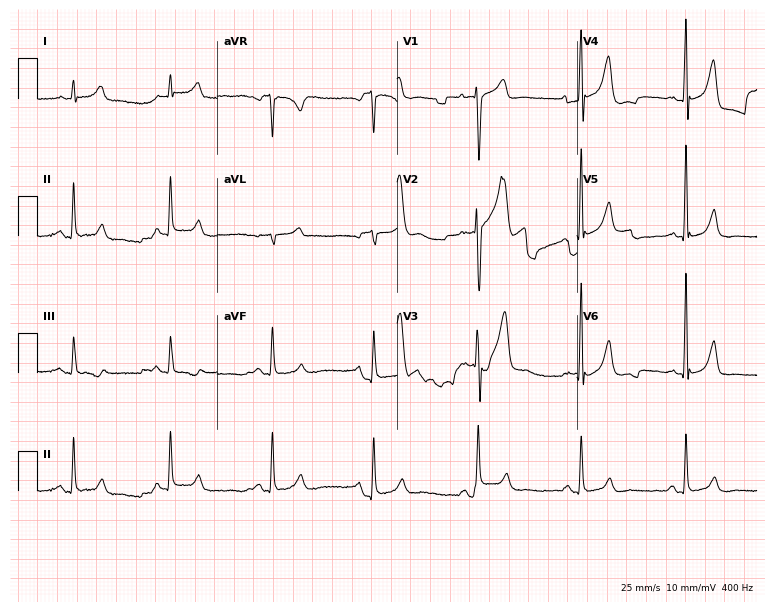
Electrocardiogram, a male, 41 years old. Of the six screened findings (first-degree AV block, right bundle branch block (RBBB), left bundle branch block (LBBB), sinus bradycardia, atrial fibrillation (AF), sinus tachycardia), none is recorded. Other findings, if any, are not listed.